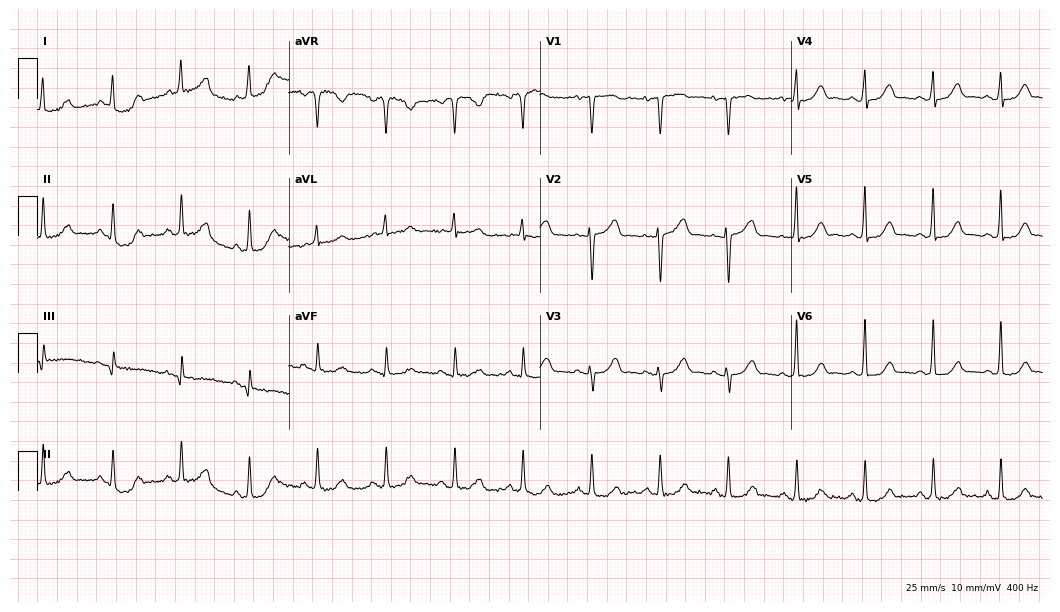
Standard 12-lead ECG recorded from a 55-year-old woman (10.2-second recording at 400 Hz). Read as a normal ECG.